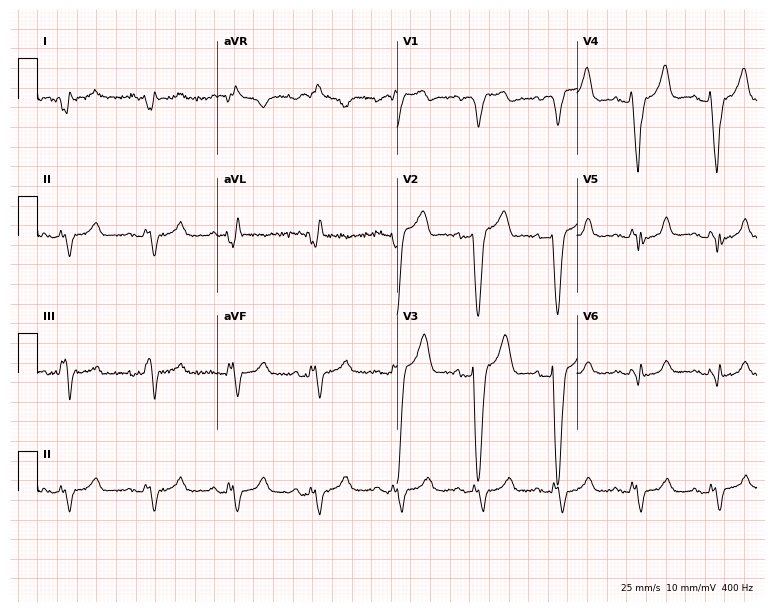
Electrocardiogram (7.3-second recording at 400 Hz), a 79-year-old female patient. Interpretation includes left bundle branch block.